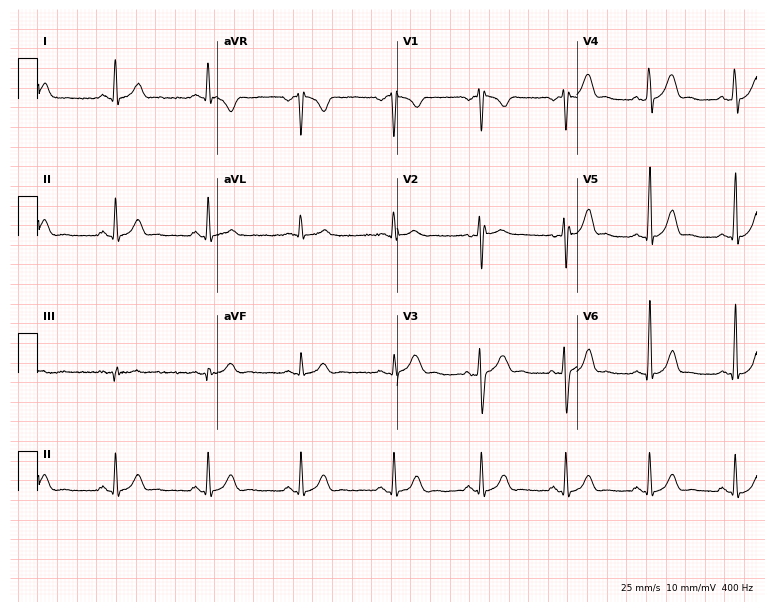
Electrocardiogram (7.3-second recording at 400 Hz), a 33-year-old male patient. Overall reading on record: normal ECG.